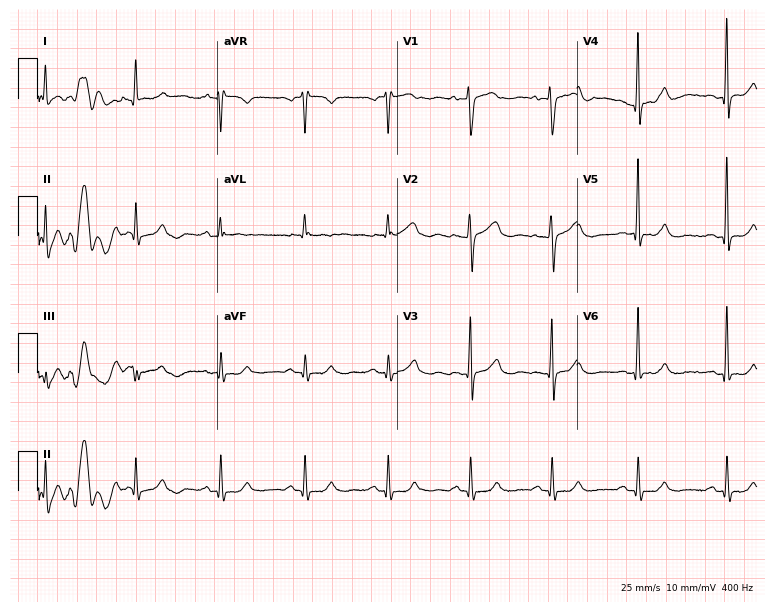
ECG (7.3-second recording at 400 Hz) — a male patient, 45 years old. Screened for six findings — first-degree AV block, right bundle branch block, left bundle branch block, sinus bradycardia, atrial fibrillation, sinus tachycardia — none is recorded.